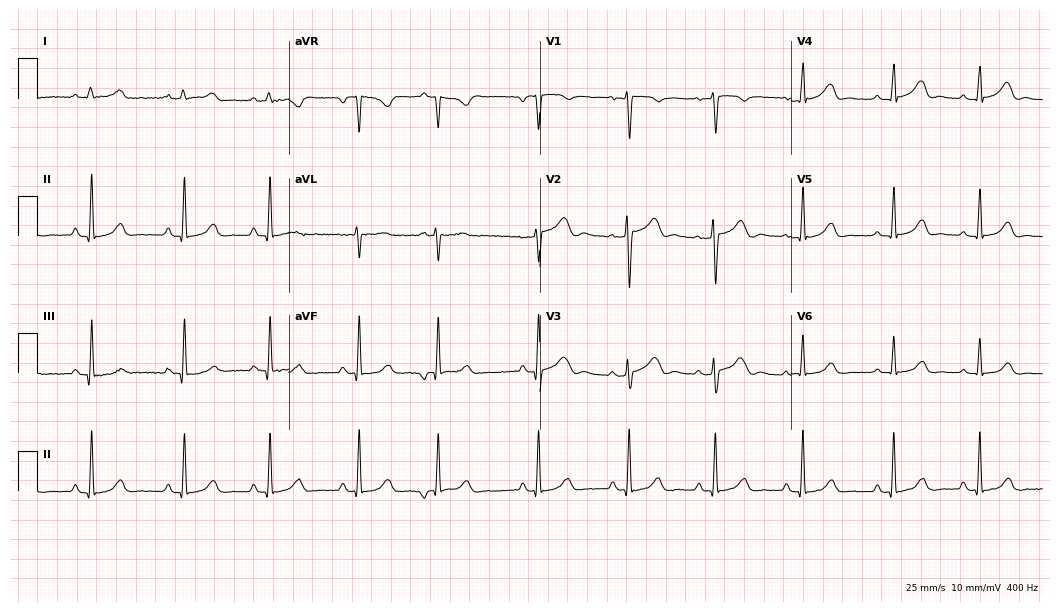
Standard 12-lead ECG recorded from a woman, 38 years old (10.2-second recording at 400 Hz). Read as a normal ECG.